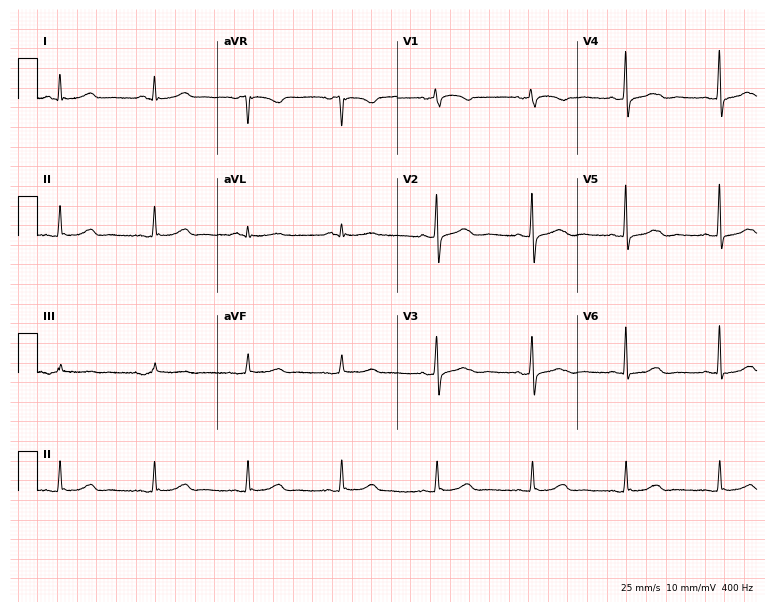
12-lead ECG from a 73-year-old woman (7.3-second recording at 400 Hz). Recorded interpretation: within normal limits.